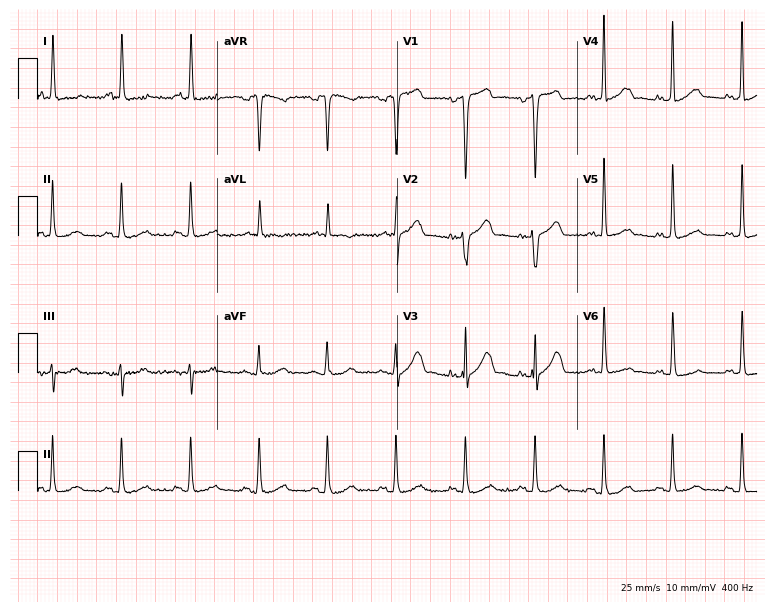
Resting 12-lead electrocardiogram (7.3-second recording at 400 Hz). Patient: a female, 66 years old. None of these six findings is recorded: first-degree AV block, right bundle branch block (RBBB), left bundle branch block (LBBB), sinus bradycardia, atrial fibrillation (AF), sinus tachycardia. Only these six findings were labelled.